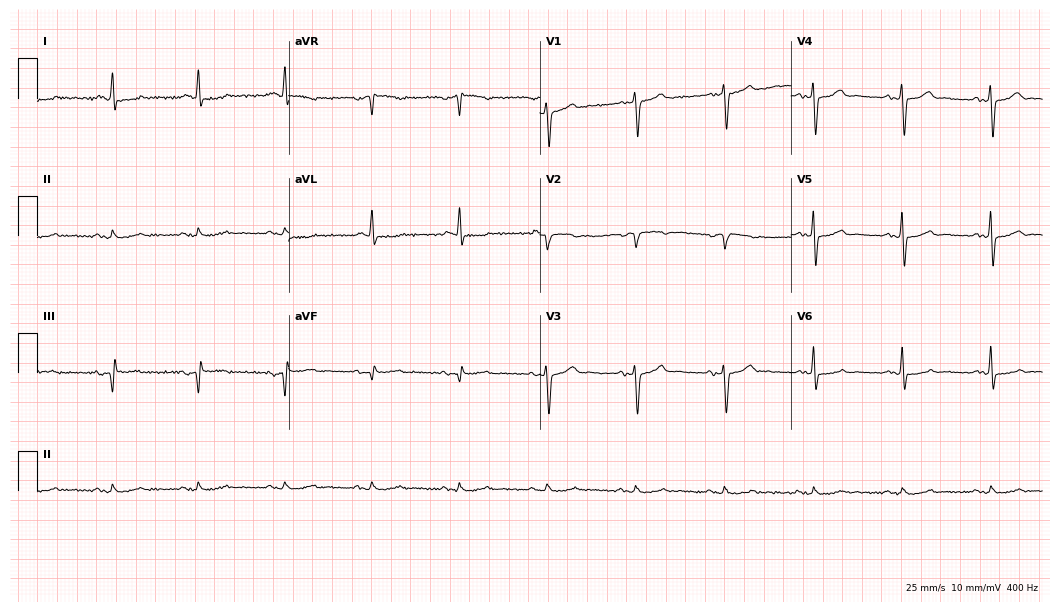
12-lead ECG from a man, 63 years old. No first-degree AV block, right bundle branch block, left bundle branch block, sinus bradycardia, atrial fibrillation or sinus tachycardia recorded for this tracing. Only these six findings were labelled.